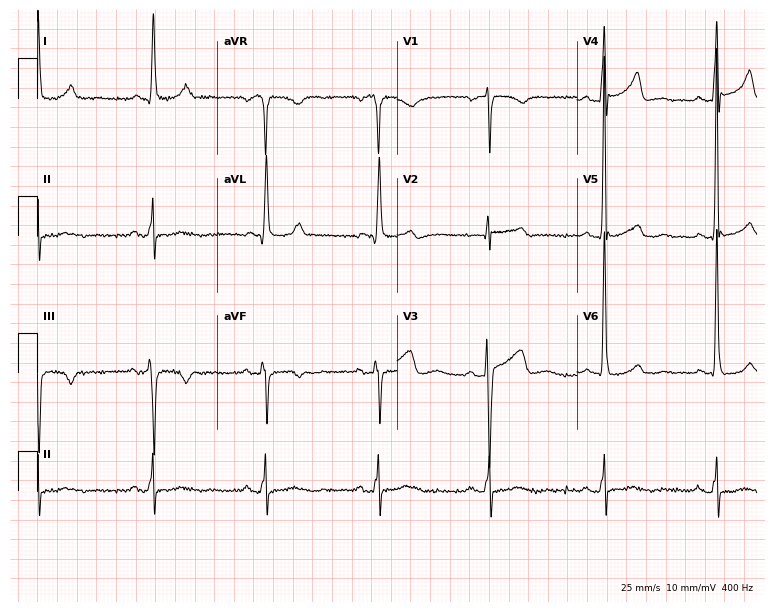
ECG (7.3-second recording at 400 Hz) — an 81-year-old female. Labelled as a normal ECG.